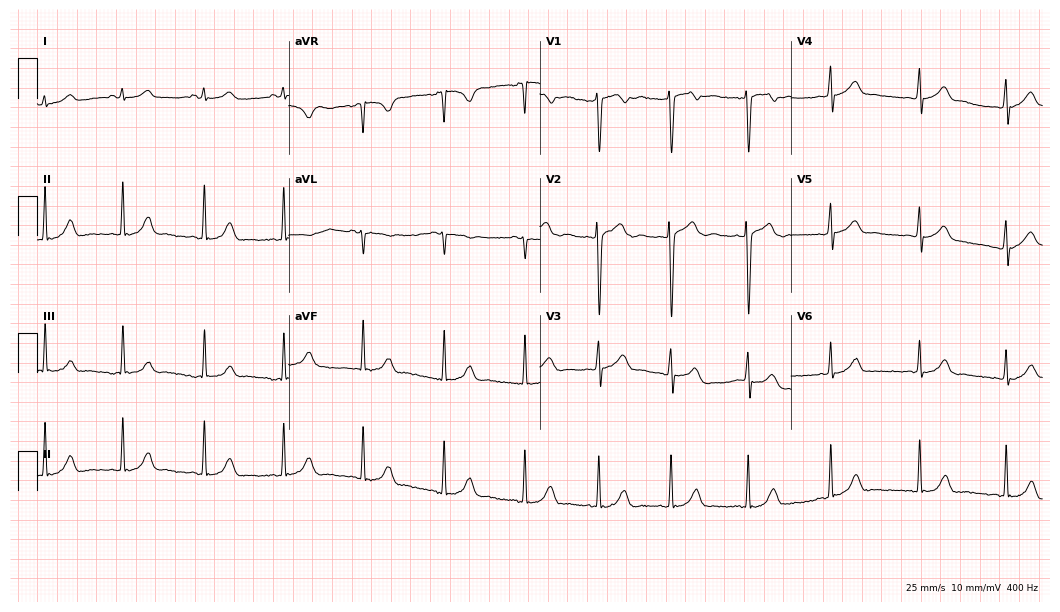
12-lead ECG from a female, 19 years old. Labelled as a normal ECG.